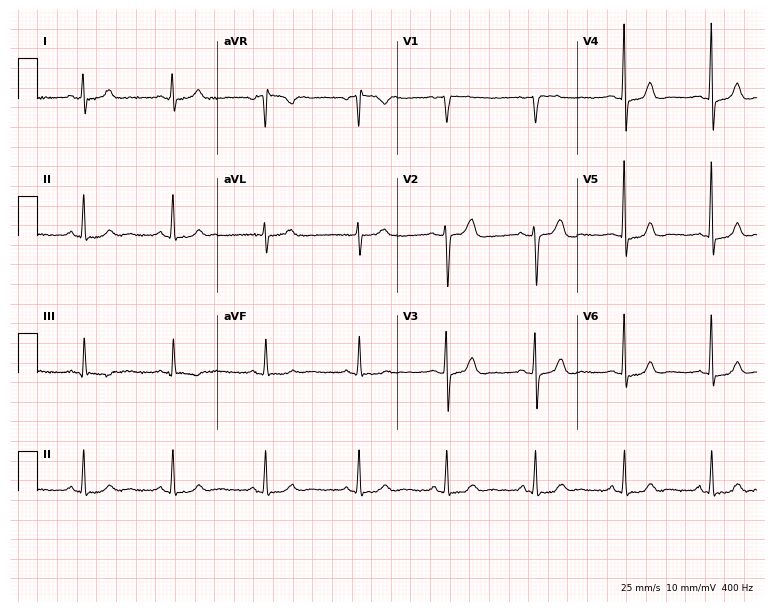
Standard 12-lead ECG recorded from a 58-year-old female patient. Read as a normal ECG.